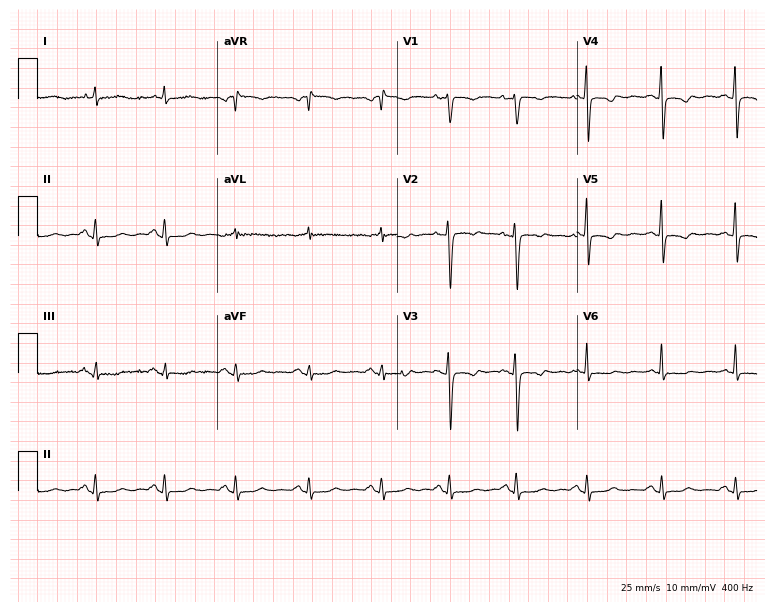
Electrocardiogram, a woman, 45 years old. Of the six screened findings (first-degree AV block, right bundle branch block, left bundle branch block, sinus bradycardia, atrial fibrillation, sinus tachycardia), none is recorded. Other findings, if any, are not listed.